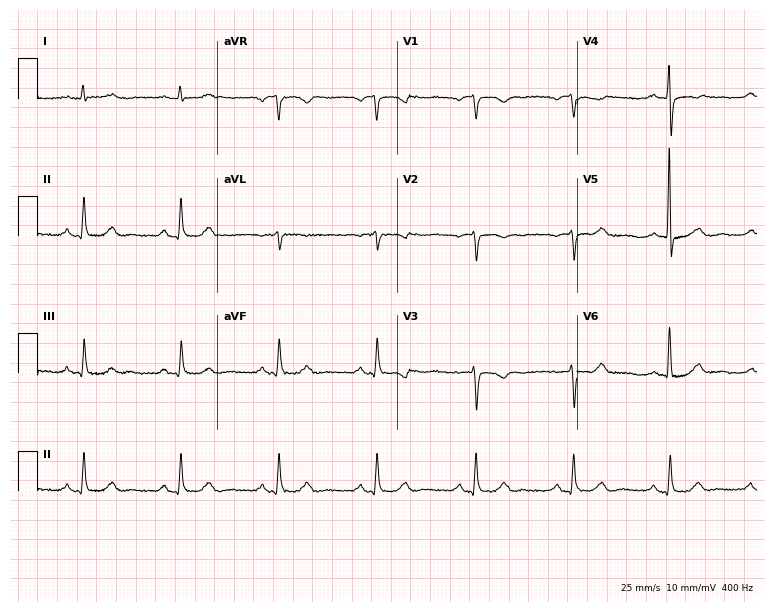
12-lead ECG from a 77-year-old woman (7.3-second recording at 400 Hz). No first-degree AV block, right bundle branch block, left bundle branch block, sinus bradycardia, atrial fibrillation or sinus tachycardia recorded for this tracing. Only these six findings were labelled.